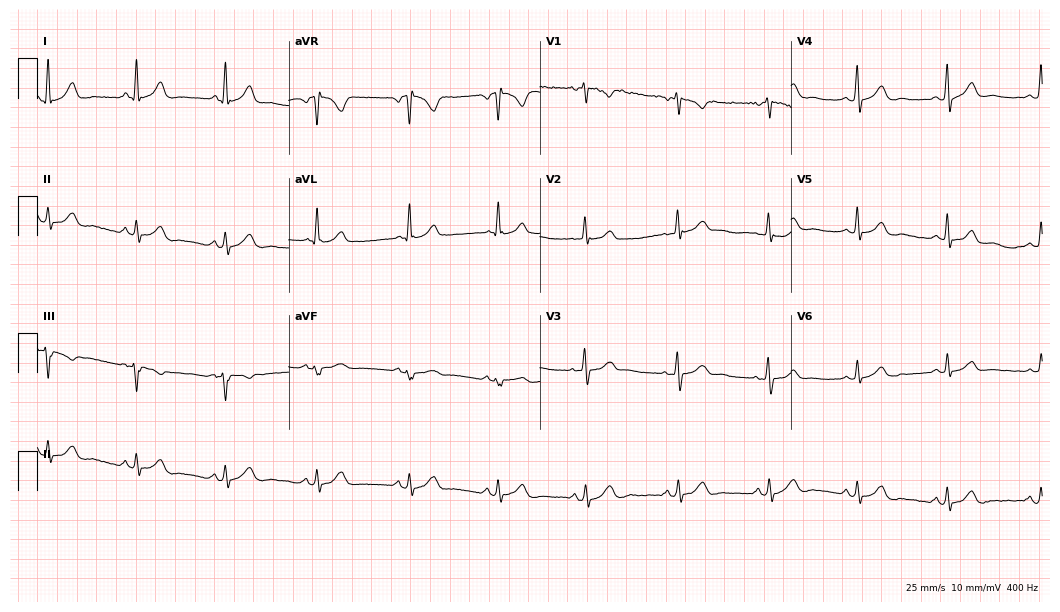
Resting 12-lead electrocardiogram (10.2-second recording at 400 Hz). Patient: a female, 41 years old. Read as a normal ECG.